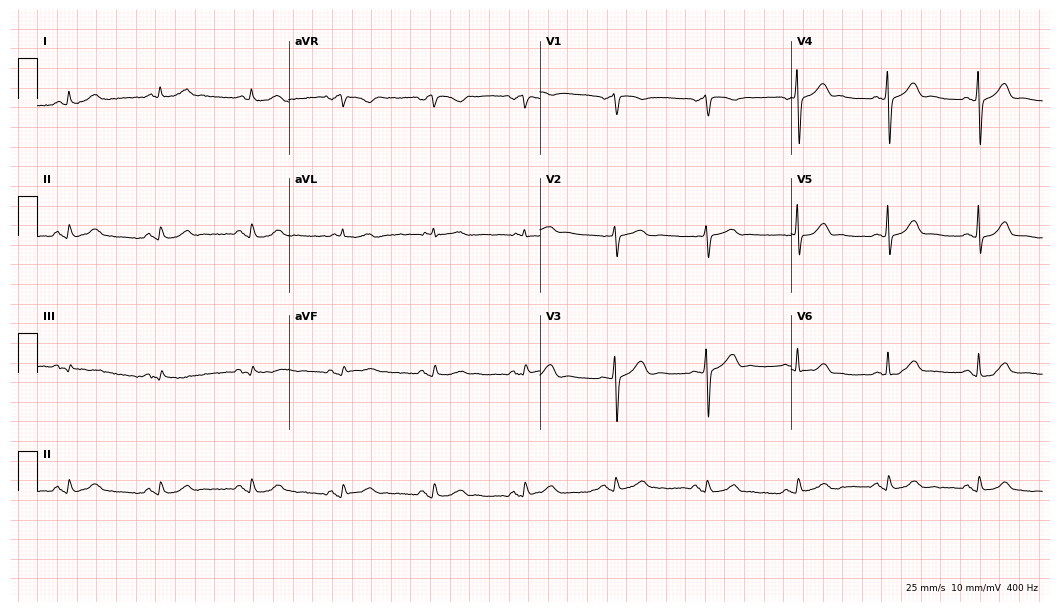
Resting 12-lead electrocardiogram. Patient: a 65-year-old female. Read as a normal ECG.